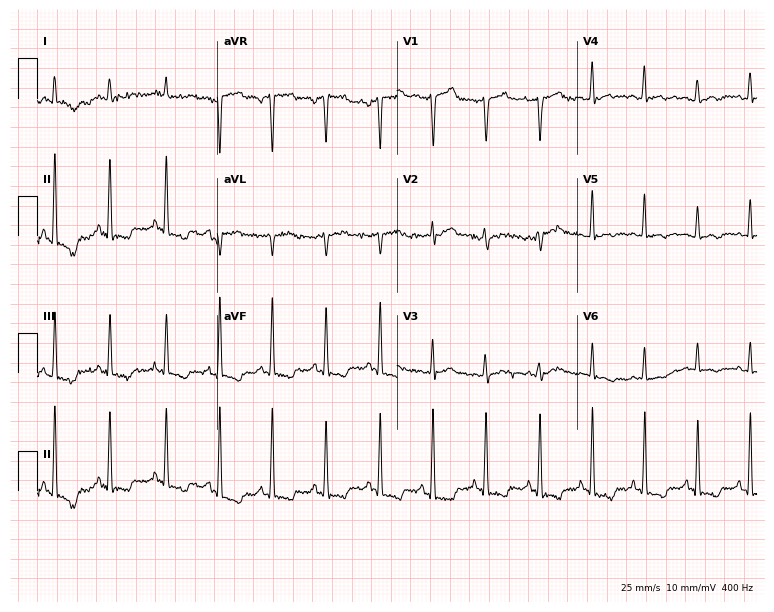
Resting 12-lead electrocardiogram. Patient: a 54-year-old male. The tracing shows sinus tachycardia (a sinus rate of 100 beats per minute or more).